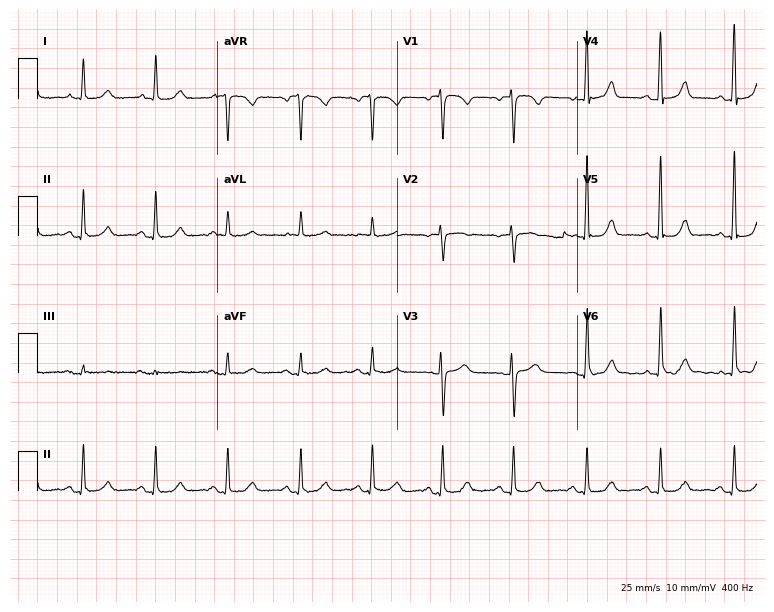
12-lead ECG (7.3-second recording at 400 Hz) from a 53-year-old female patient. Screened for six findings — first-degree AV block, right bundle branch block, left bundle branch block, sinus bradycardia, atrial fibrillation, sinus tachycardia — none is recorded. Only these six findings were labelled.